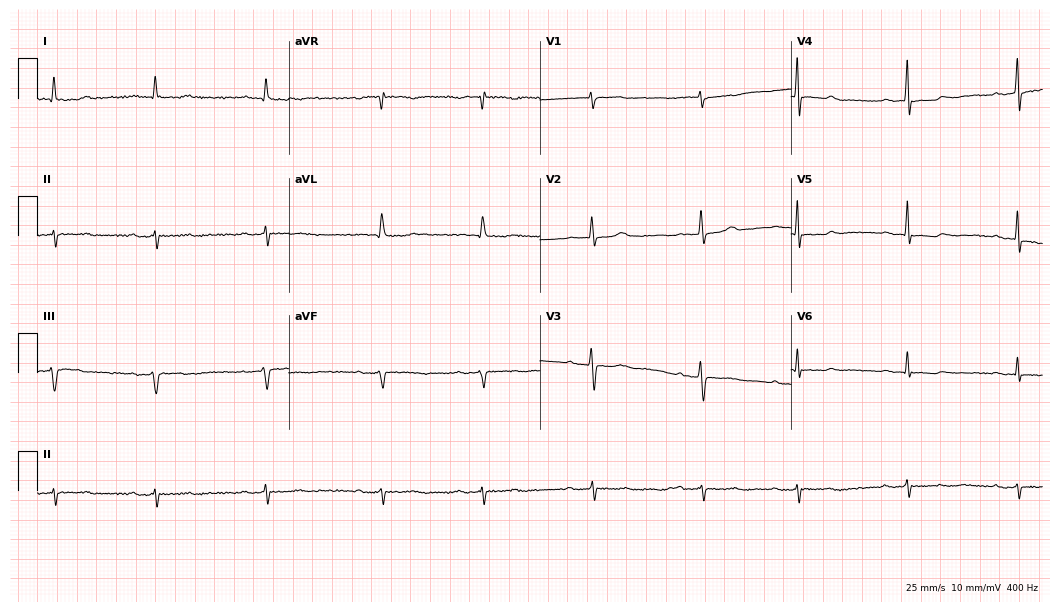
ECG (10.2-second recording at 400 Hz) — a female, 62 years old. Screened for six findings — first-degree AV block, right bundle branch block, left bundle branch block, sinus bradycardia, atrial fibrillation, sinus tachycardia — none is recorded.